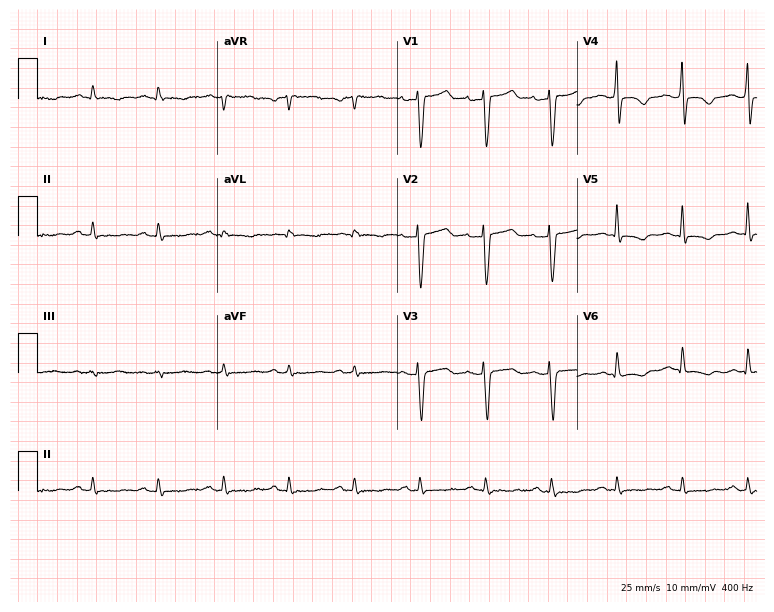
Resting 12-lead electrocardiogram (7.3-second recording at 400 Hz). Patient: a 63-year-old male. Read as a normal ECG.